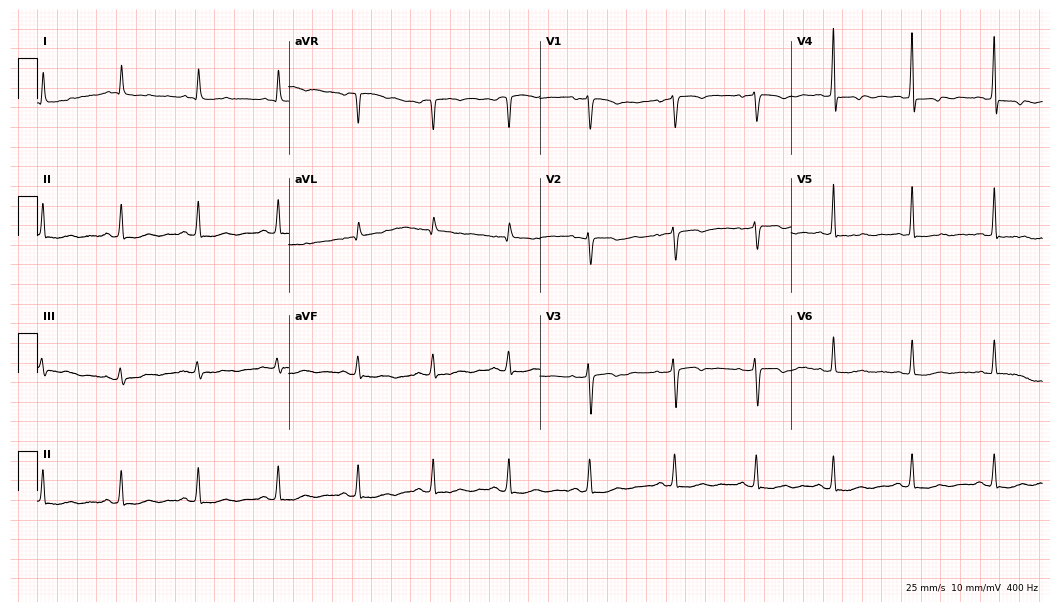
ECG (10.2-second recording at 400 Hz) — a 63-year-old female patient. Screened for six findings — first-degree AV block, right bundle branch block (RBBB), left bundle branch block (LBBB), sinus bradycardia, atrial fibrillation (AF), sinus tachycardia — none is recorded. Only these six findings were labelled.